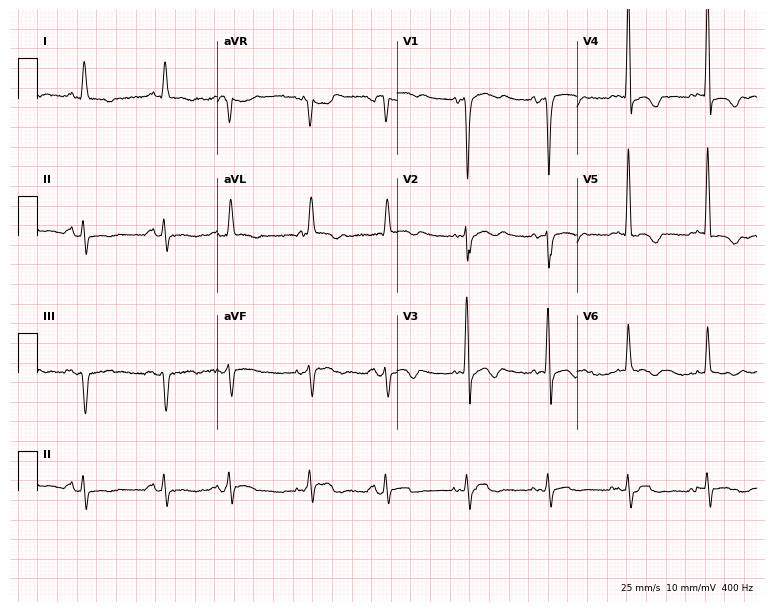
Resting 12-lead electrocardiogram (7.3-second recording at 400 Hz). Patient: a man, 80 years old. None of these six findings is recorded: first-degree AV block, right bundle branch block, left bundle branch block, sinus bradycardia, atrial fibrillation, sinus tachycardia.